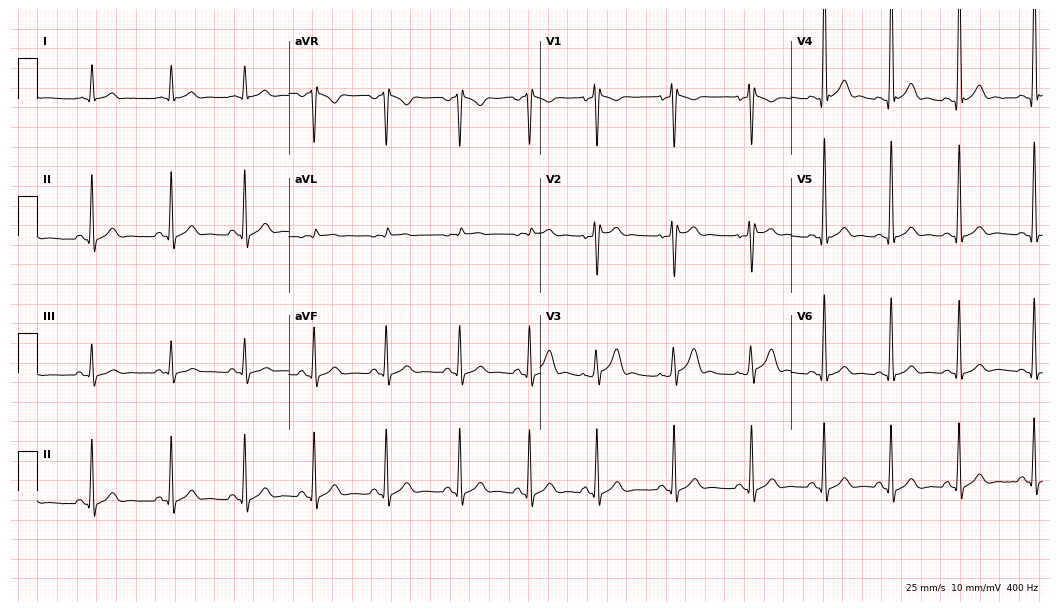
12-lead ECG from a 21-year-old man. Labelled as a normal ECG.